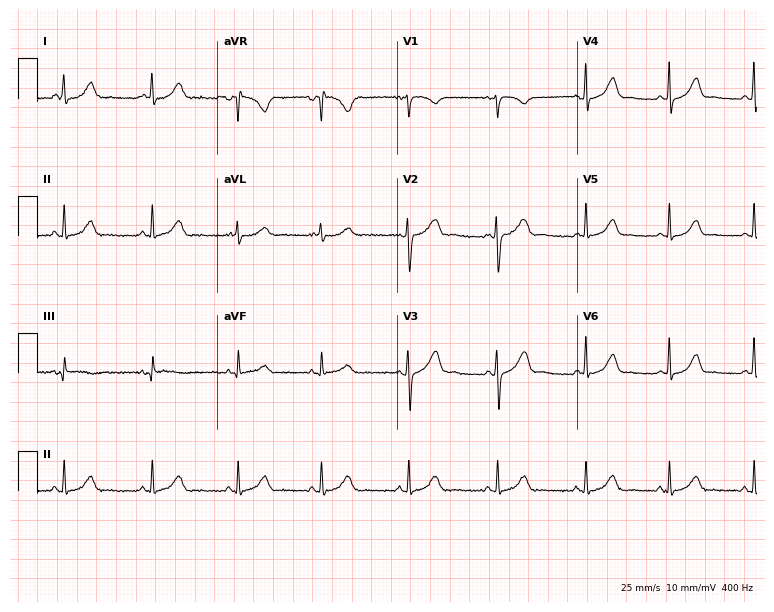
12-lead ECG from a female, 28 years old (7.3-second recording at 400 Hz). No first-degree AV block, right bundle branch block (RBBB), left bundle branch block (LBBB), sinus bradycardia, atrial fibrillation (AF) or sinus tachycardia recorded for this tracing.